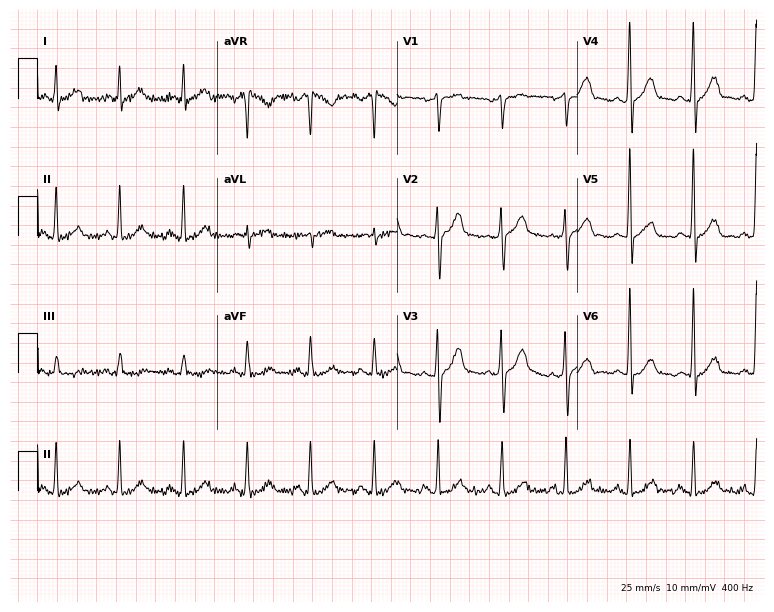
ECG (7.3-second recording at 400 Hz) — a 59-year-old male. Labelled as a normal ECG.